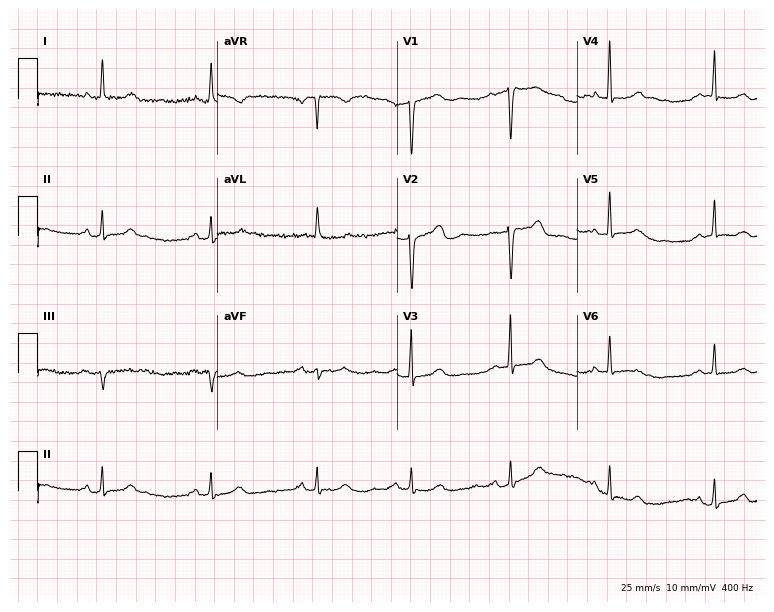
Electrocardiogram, an 81-year-old female patient. Of the six screened findings (first-degree AV block, right bundle branch block (RBBB), left bundle branch block (LBBB), sinus bradycardia, atrial fibrillation (AF), sinus tachycardia), none is recorded. Other findings, if any, are not listed.